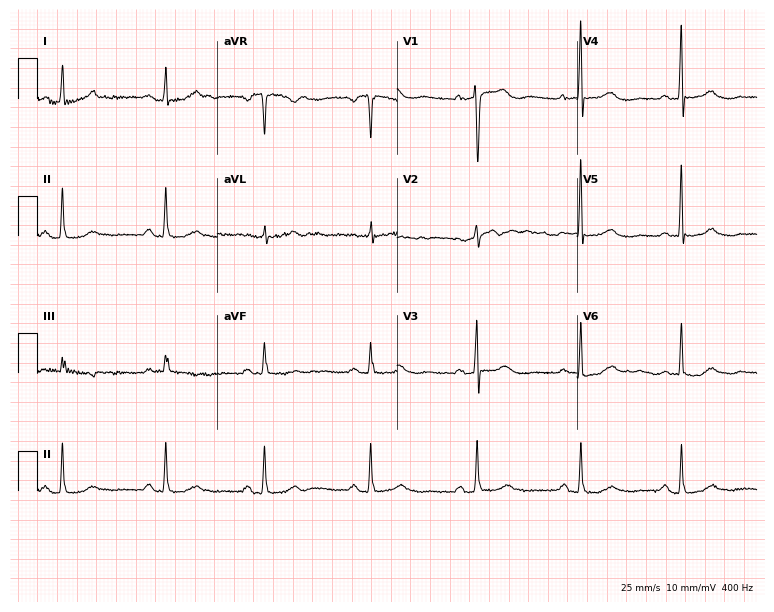
12-lead ECG from a 61-year-old female patient. Labelled as a normal ECG.